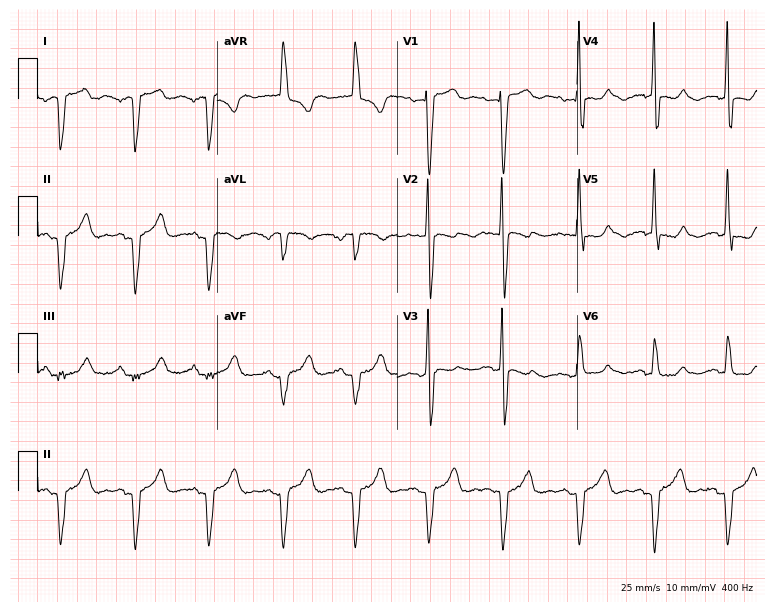
Resting 12-lead electrocardiogram (7.3-second recording at 400 Hz). Patient: a female, 34 years old. None of these six findings is recorded: first-degree AV block, right bundle branch block, left bundle branch block, sinus bradycardia, atrial fibrillation, sinus tachycardia. Other findings, if any, are not listed.